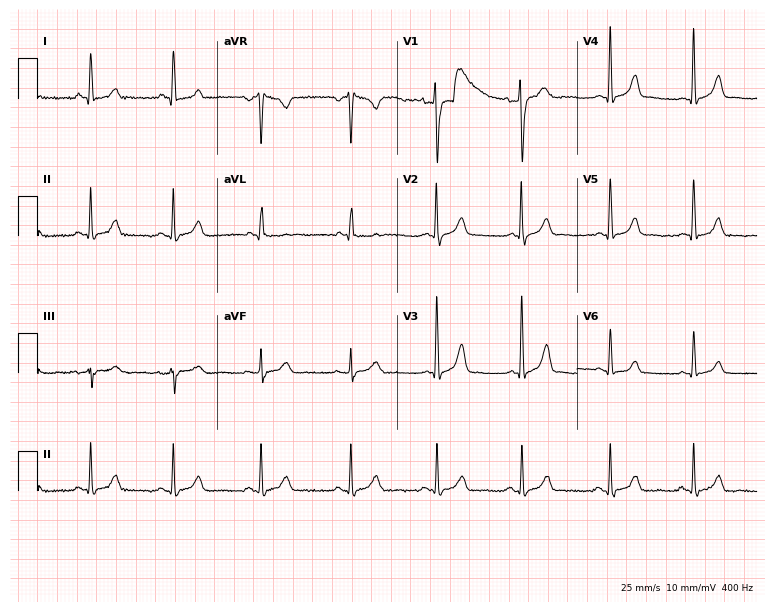
12-lead ECG from a 19-year-old woman. Labelled as a normal ECG.